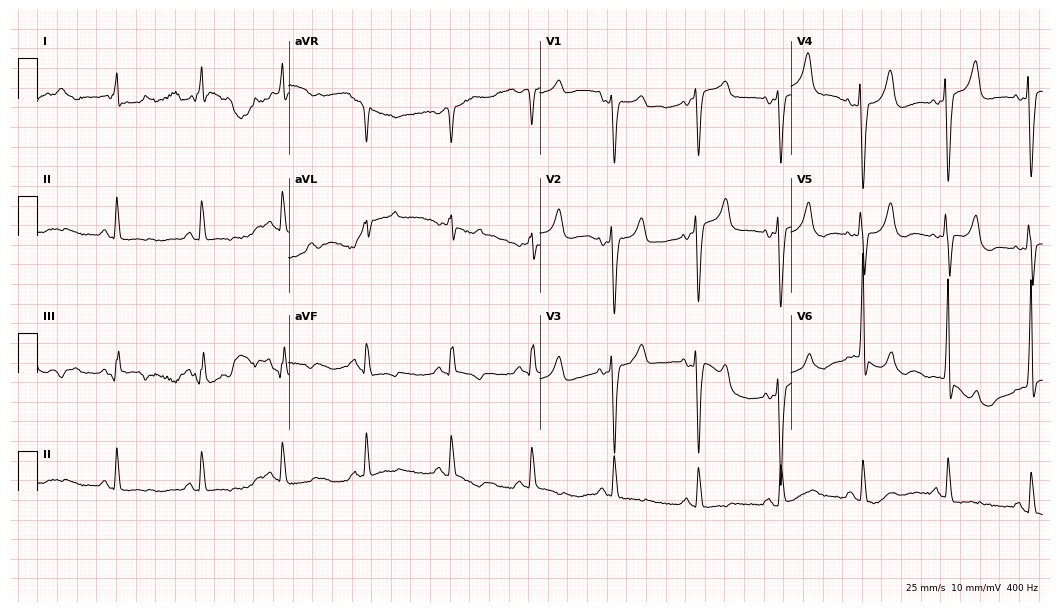
12-lead ECG from a 70-year-old female. Screened for six findings — first-degree AV block, right bundle branch block (RBBB), left bundle branch block (LBBB), sinus bradycardia, atrial fibrillation (AF), sinus tachycardia — none is recorded.